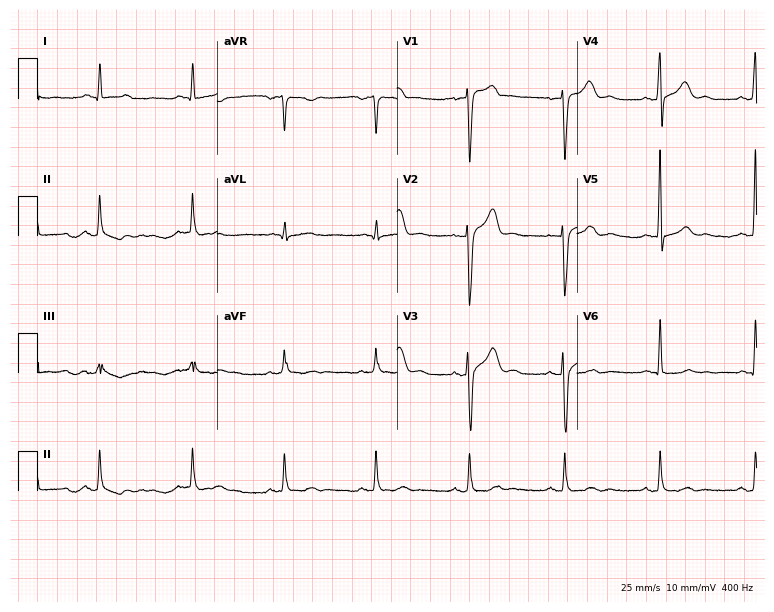
Resting 12-lead electrocardiogram. Patient: a man, 59 years old. Read as a normal ECG.